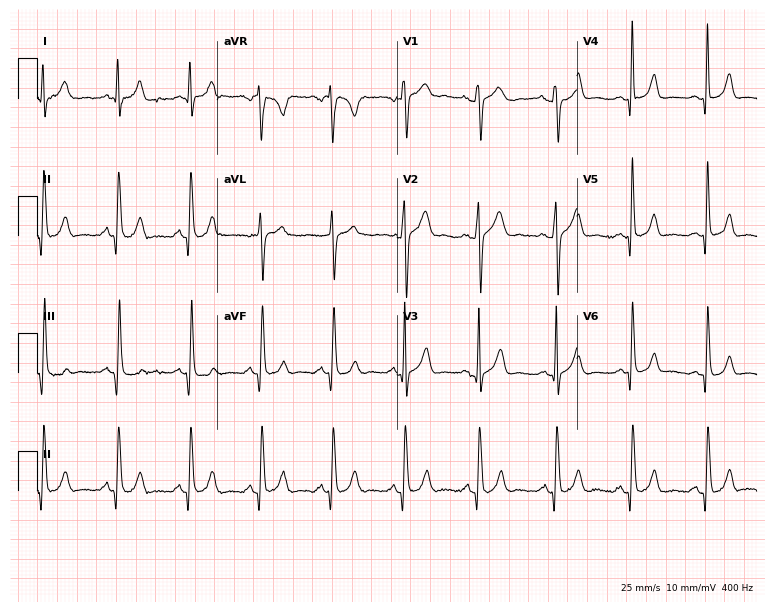
12-lead ECG from a man, 19 years old. No first-degree AV block, right bundle branch block, left bundle branch block, sinus bradycardia, atrial fibrillation or sinus tachycardia recorded for this tracing.